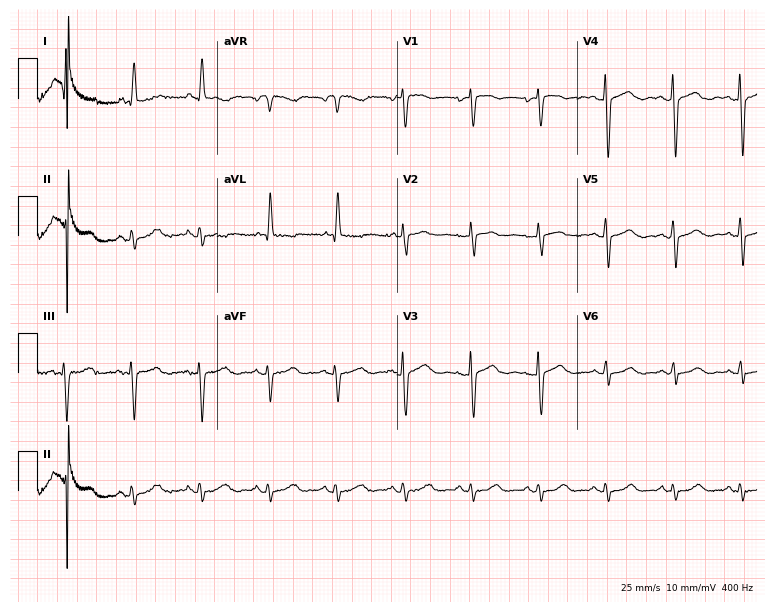
12-lead ECG (7.3-second recording at 400 Hz) from a female, 72 years old. Screened for six findings — first-degree AV block, right bundle branch block, left bundle branch block, sinus bradycardia, atrial fibrillation, sinus tachycardia — none is recorded. Other findings, if any, are not listed.